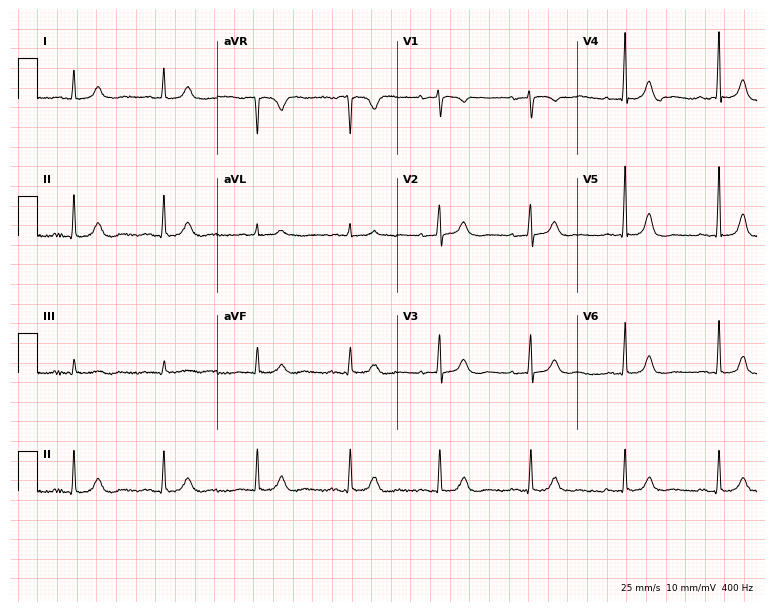
Electrocardiogram (7.3-second recording at 400 Hz), an 84-year-old female patient. Overall reading on record: normal ECG.